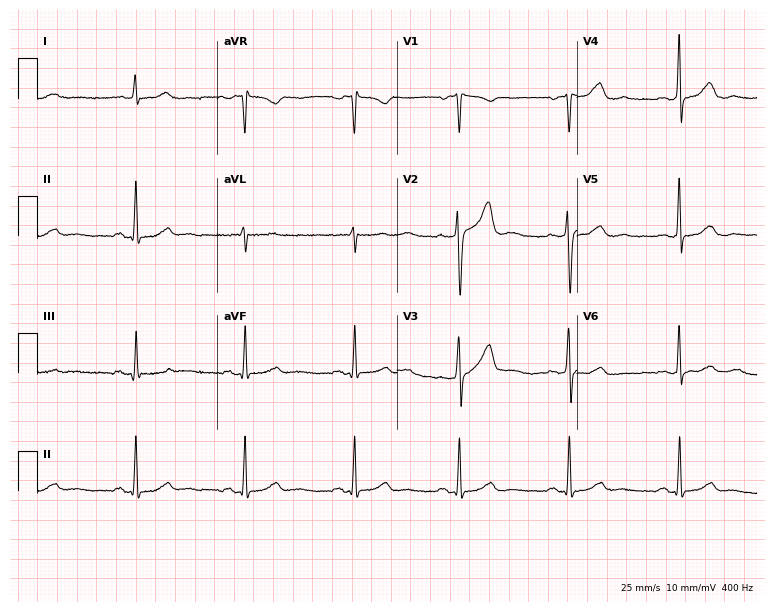
Standard 12-lead ECG recorded from a woman, 61 years old. Read as a normal ECG.